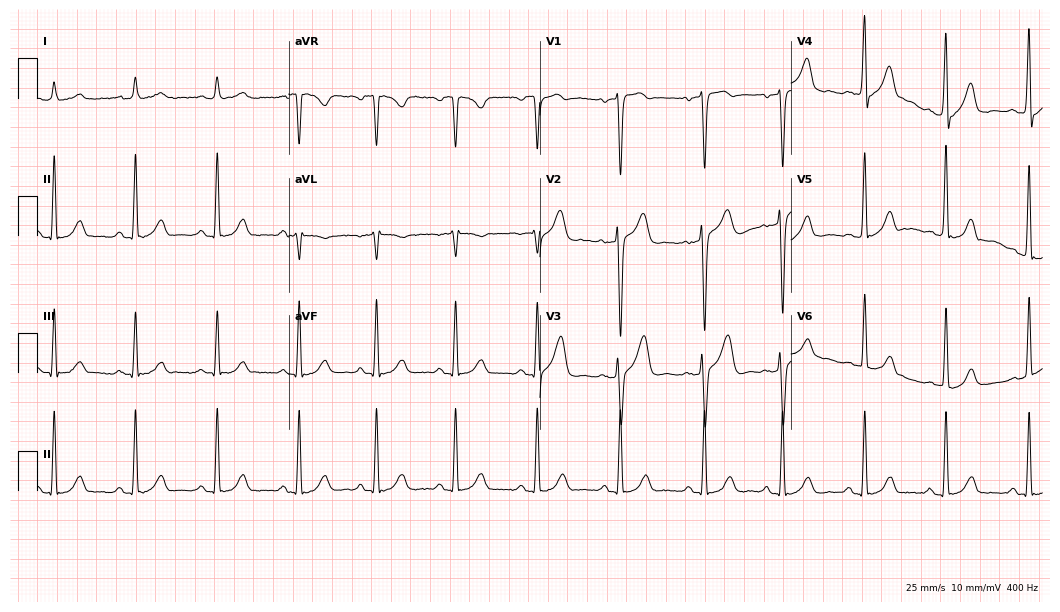
Resting 12-lead electrocardiogram. Patient: a male, 61 years old. Read as a normal ECG.